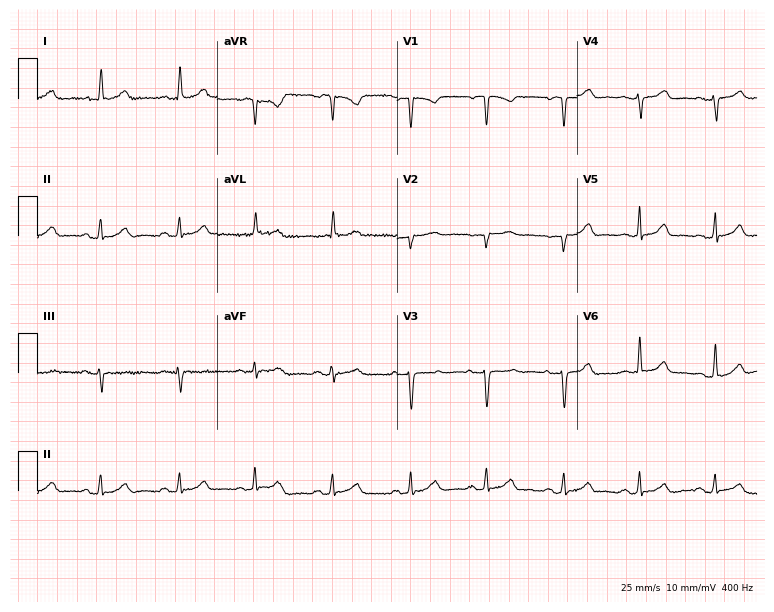
12-lead ECG (7.3-second recording at 400 Hz) from a 48-year-old female. Labelled as a normal ECG.